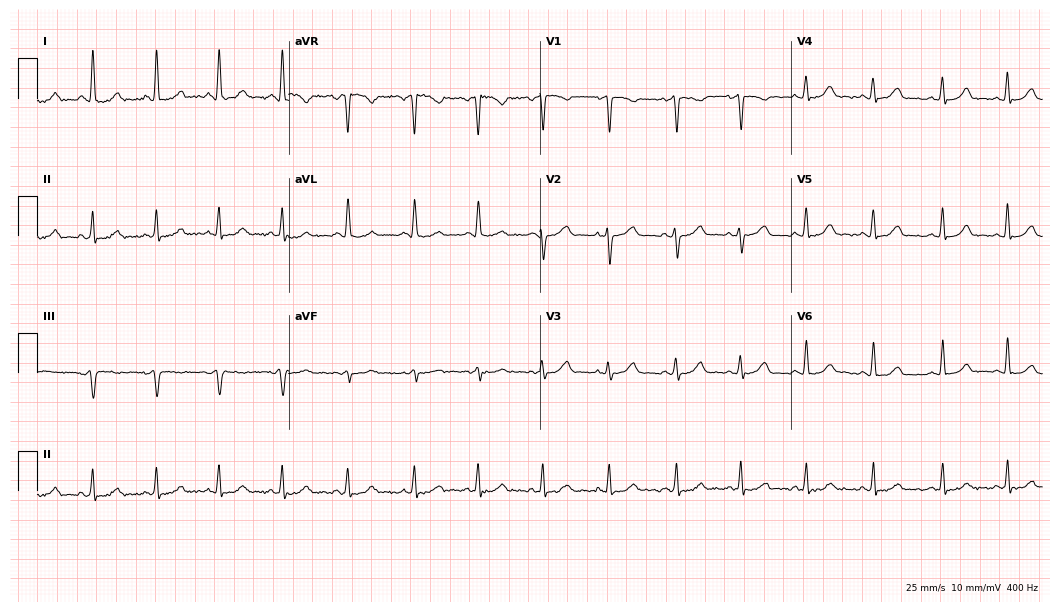
ECG — a 33-year-old female patient. Labelled as a normal ECG.